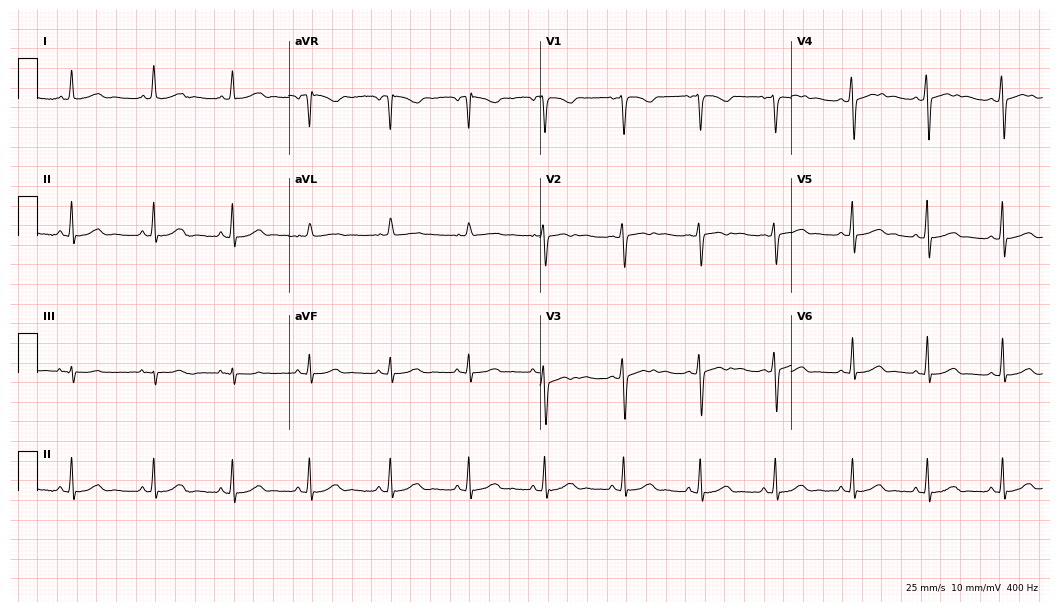
Electrocardiogram, a 26-year-old female. Overall reading on record: normal ECG.